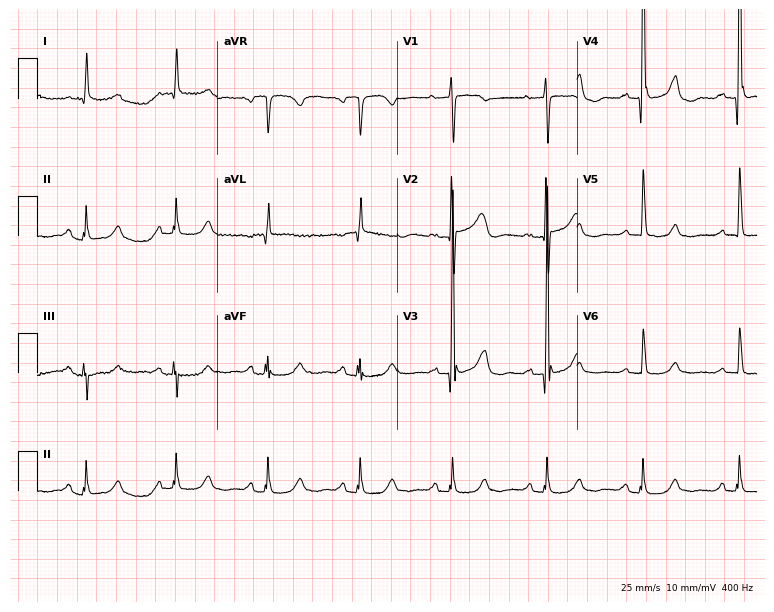
Standard 12-lead ECG recorded from an 81-year-old female patient. Read as a normal ECG.